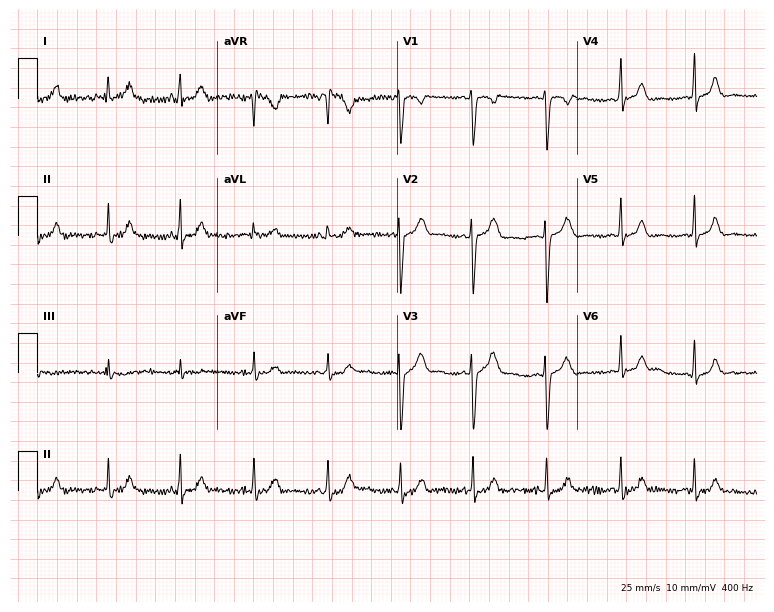
12-lead ECG from a 23-year-old woman (7.3-second recording at 400 Hz). No first-degree AV block, right bundle branch block, left bundle branch block, sinus bradycardia, atrial fibrillation or sinus tachycardia recorded for this tracing. Only these six findings were labelled.